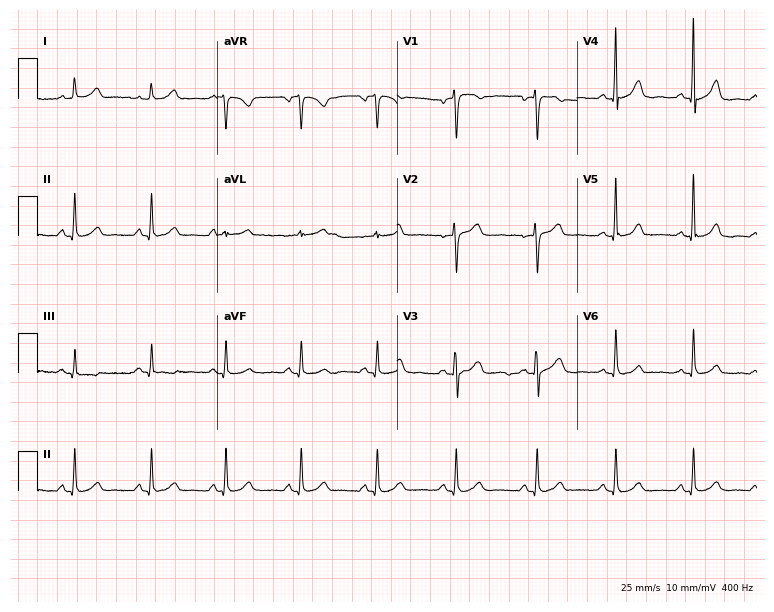
Electrocardiogram, a woman, 49 years old. Overall reading on record: normal ECG.